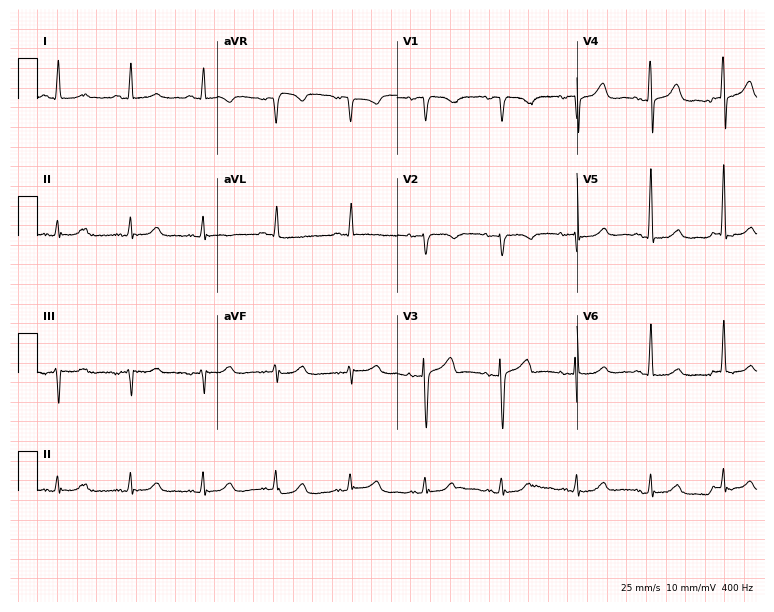
Resting 12-lead electrocardiogram (7.3-second recording at 400 Hz). Patient: a 76-year-old woman. Read as a normal ECG.